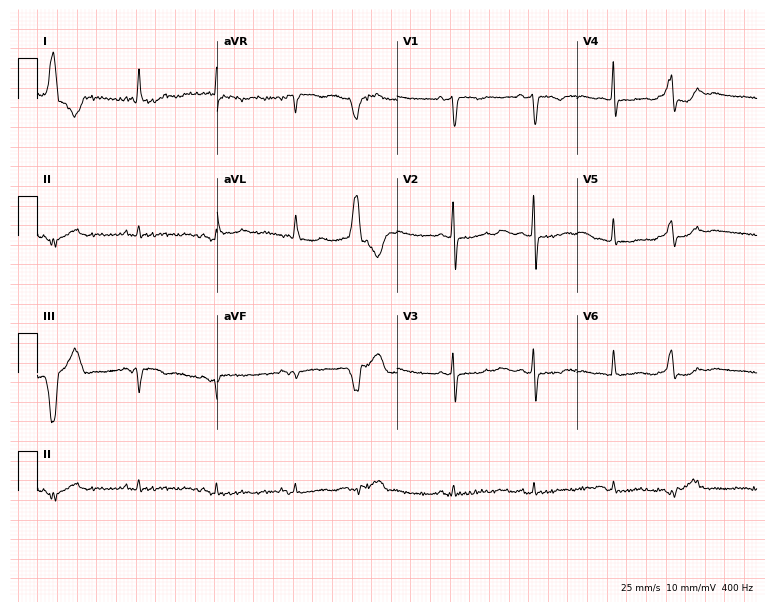
12-lead ECG from an 83-year-old female. Screened for six findings — first-degree AV block, right bundle branch block, left bundle branch block, sinus bradycardia, atrial fibrillation, sinus tachycardia — none is recorded.